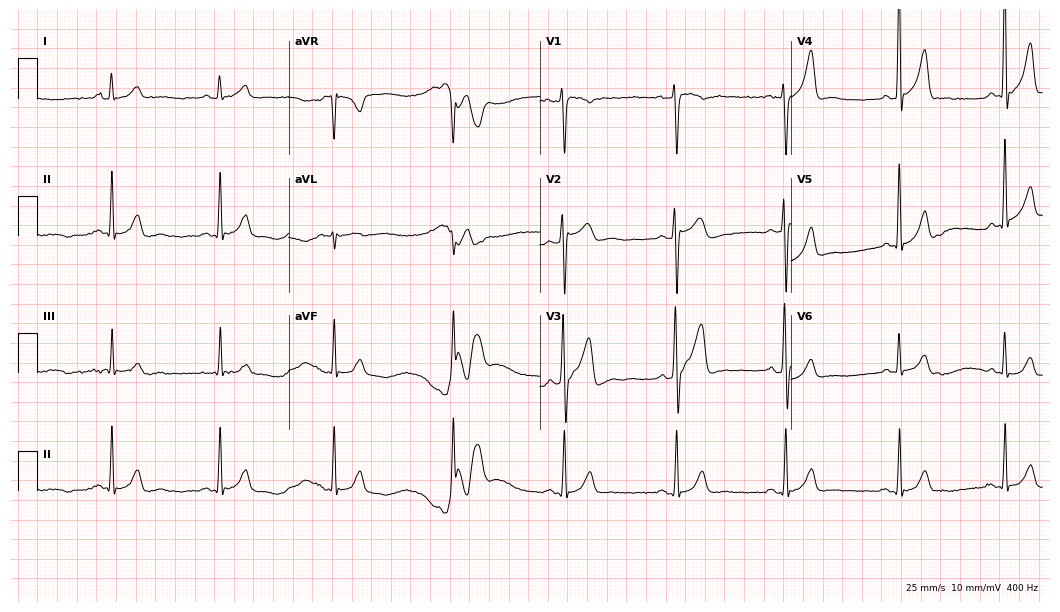
12-lead ECG from a male patient, 20 years old. No first-degree AV block, right bundle branch block, left bundle branch block, sinus bradycardia, atrial fibrillation or sinus tachycardia recorded for this tracing.